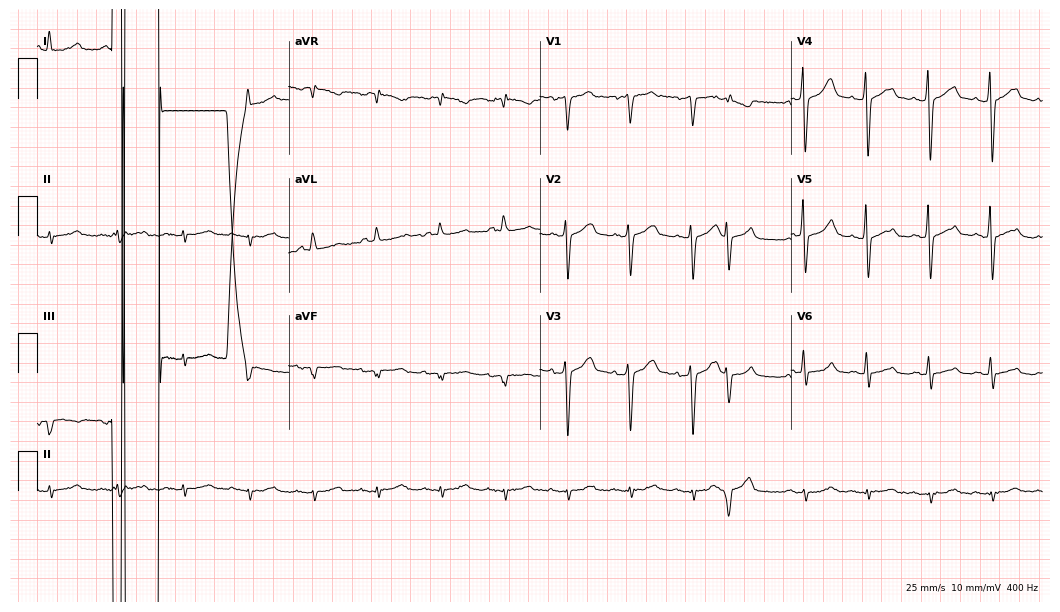
12-lead ECG (10.2-second recording at 400 Hz) from a male patient, 67 years old. Screened for six findings — first-degree AV block, right bundle branch block, left bundle branch block, sinus bradycardia, atrial fibrillation, sinus tachycardia — none is recorded.